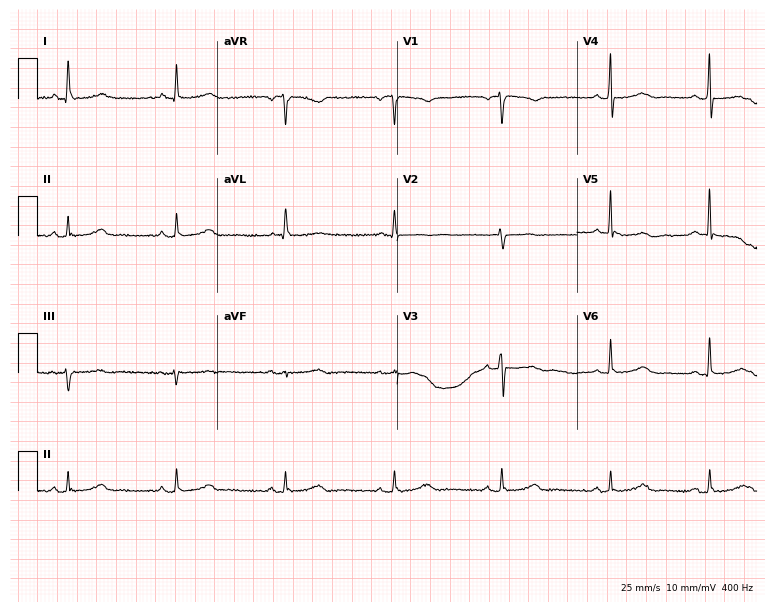
ECG — an 83-year-old female. Labelled as a normal ECG.